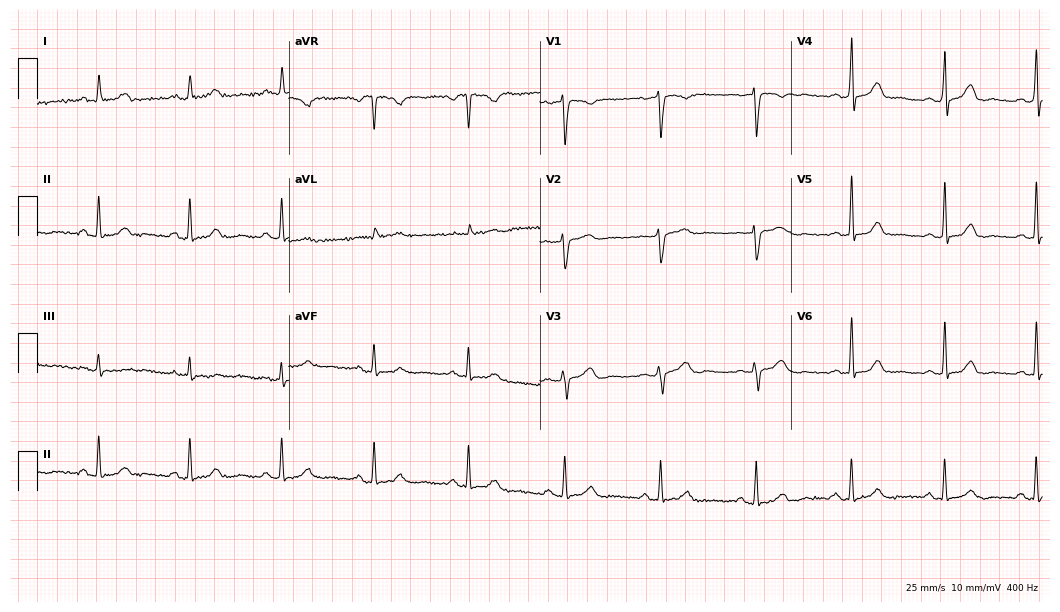
ECG — a female patient, 47 years old. Labelled as a normal ECG.